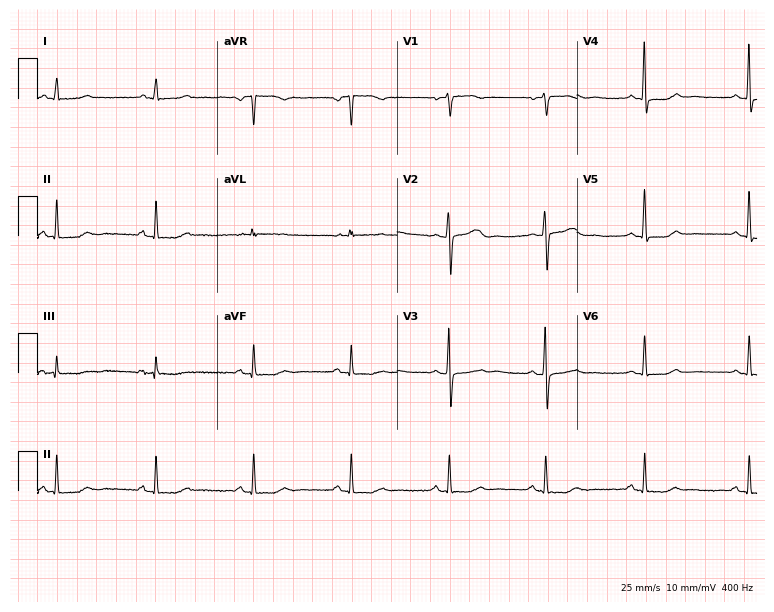
12-lead ECG from a 61-year-old female patient. Screened for six findings — first-degree AV block, right bundle branch block, left bundle branch block, sinus bradycardia, atrial fibrillation, sinus tachycardia — none is recorded. Findings outside these six are not listed.